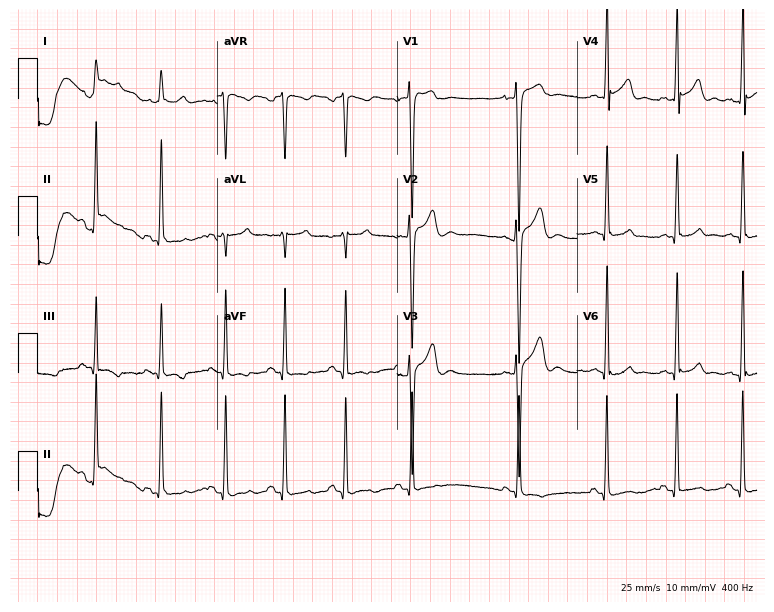
12-lead ECG from a 20-year-old male patient. Screened for six findings — first-degree AV block, right bundle branch block, left bundle branch block, sinus bradycardia, atrial fibrillation, sinus tachycardia — none is recorded. Other findings, if any, are not listed.